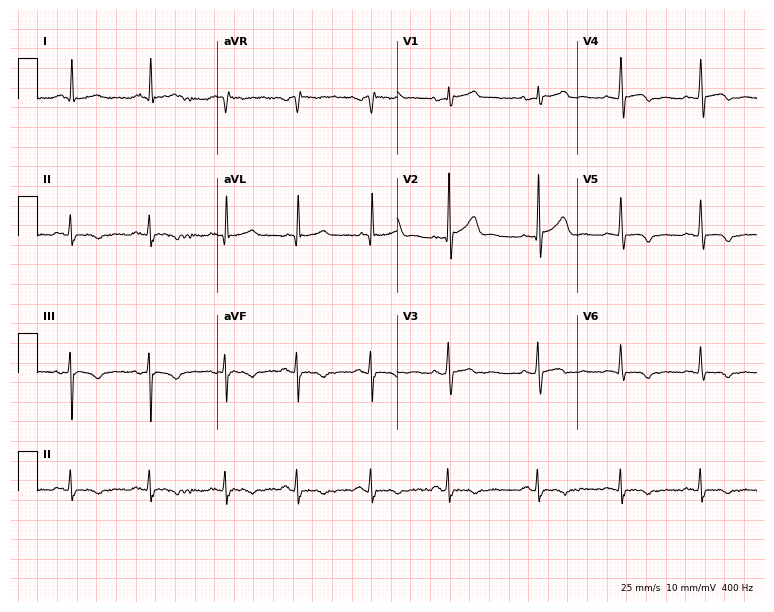
ECG — a 44-year-old man. Screened for six findings — first-degree AV block, right bundle branch block, left bundle branch block, sinus bradycardia, atrial fibrillation, sinus tachycardia — none is recorded.